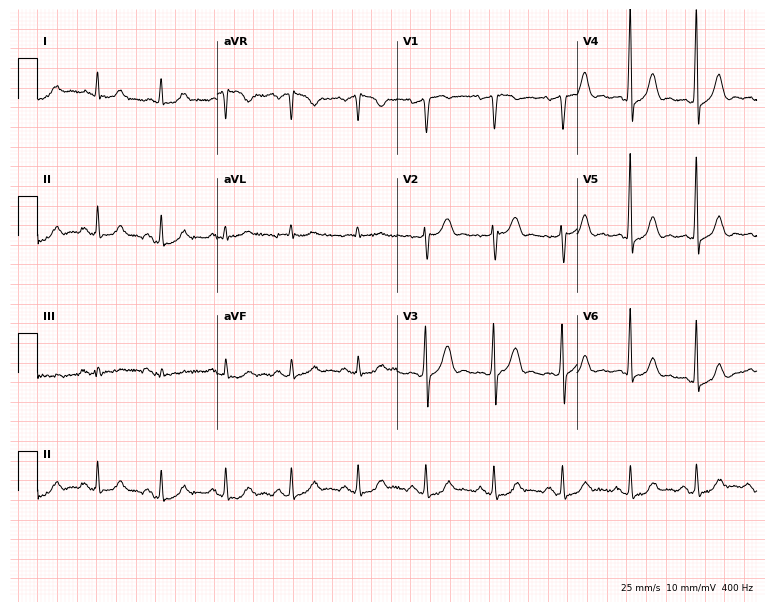
12-lead ECG from a 56-year-old man. Screened for six findings — first-degree AV block, right bundle branch block (RBBB), left bundle branch block (LBBB), sinus bradycardia, atrial fibrillation (AF), sinus tachycardia — none is recorded.